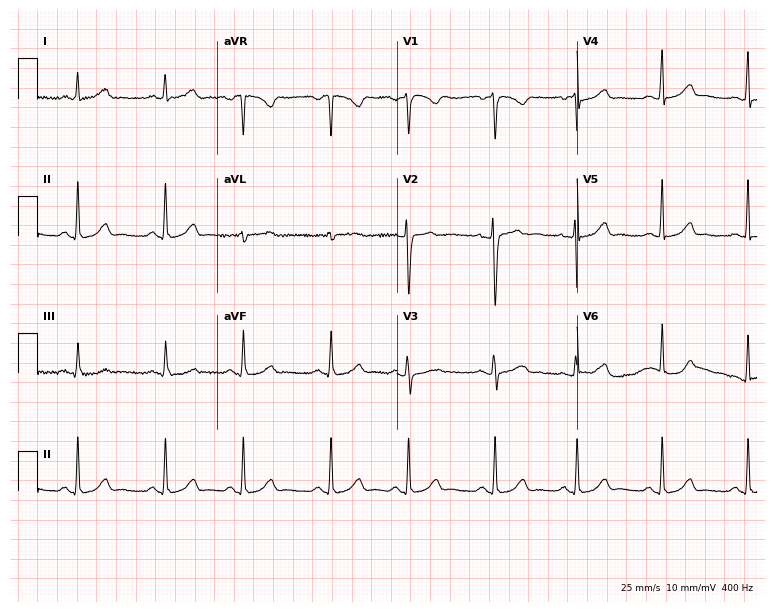
12-lead ECG from a 29-year-old woman (7.3-second recording at 400 Hz). No first-degree AV block, right bundle branch block, left bundle branch block, sinus bradycardia, atrial fibrillation or sinus tachycardia recorded for this tracing. Only these six findings were labelled.